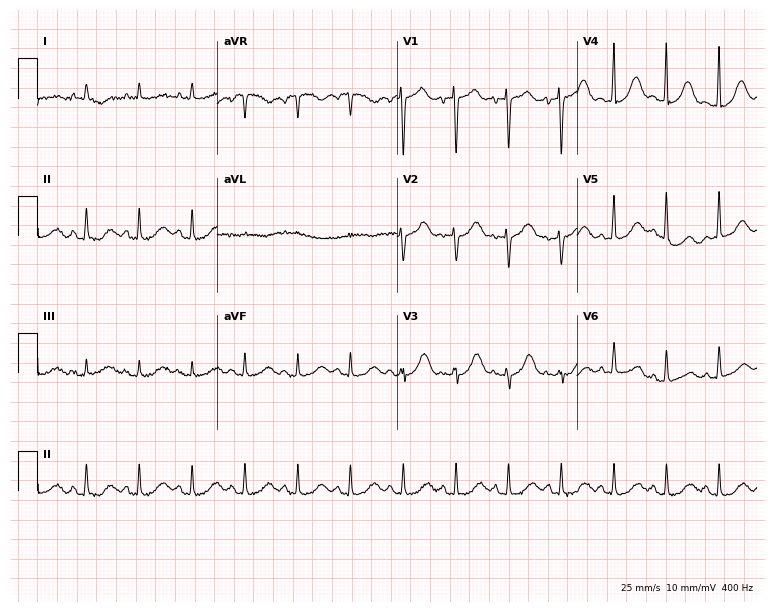
Electrocardiogram, an 84-year-old female. Interpretation includes sinus tachycardia (a sinus rate of 100 beats per minute or more).